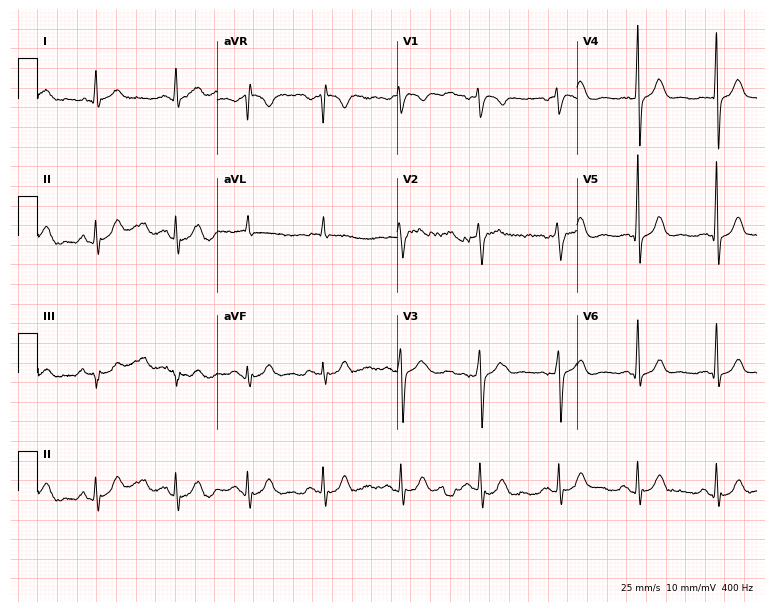
ECG (7.3-second recording at 400 Hz) — a 57-year-old female. Screened for six findings — first-degree AV block, right bundle branch block, left bundle branch block, sinus bradycardia, atrial fibrillation, sinus tachycardia — none is recorded. Only these six findings were labelled.